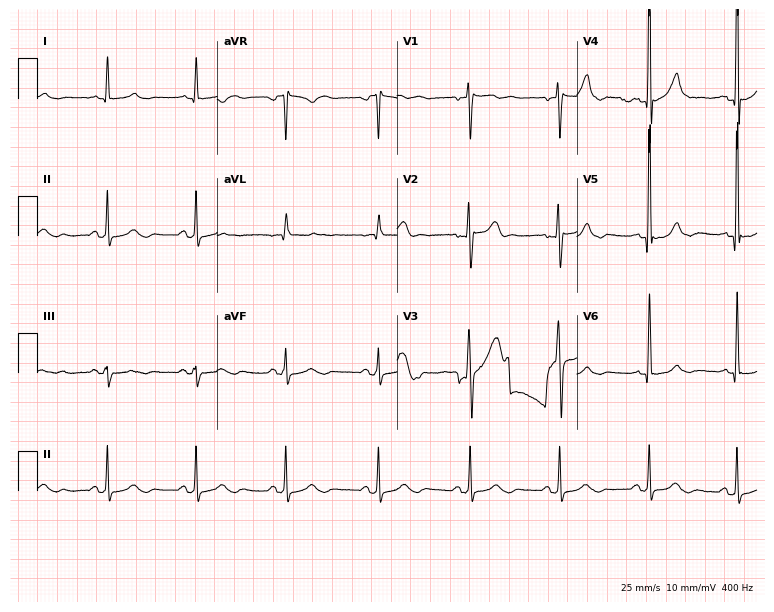
Resting 12-lead electrocardiogram (7.3-second recording at 400 Hz). Patient: a male, 67 years old. Read as a normal ECG.